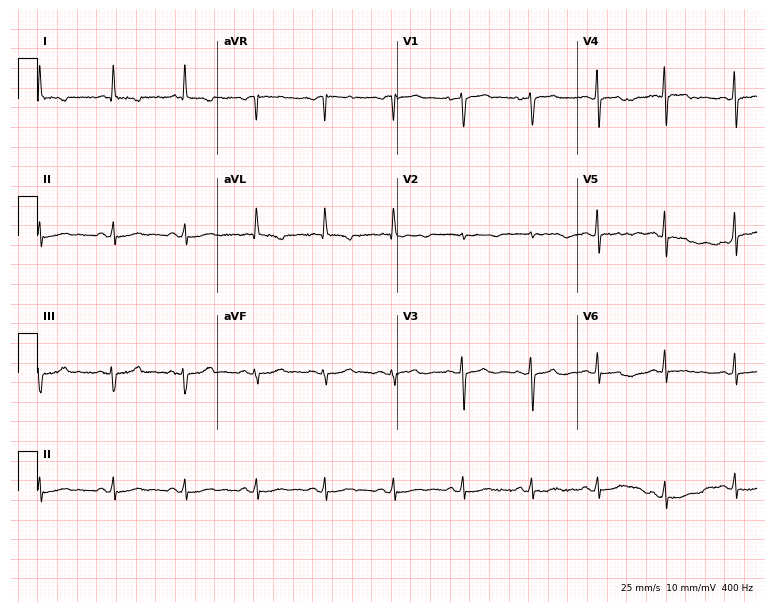
Standard 12-lead ECG recorded from a female, 77 years old. None of these six findings is recorded: first-degree AV block, right bundle branch block, left bundle branch block, sinus bradycardia, atrial fibrillation, sinus tachycardia. Other findings, if any, are not listed.